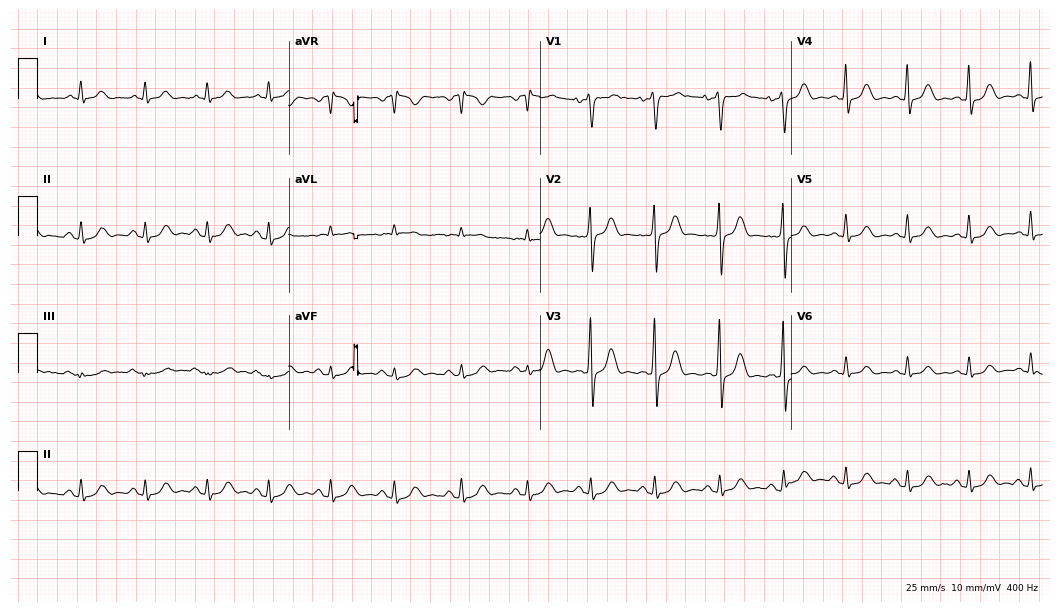
Resting 12-lead electrocardiogram. Patient: a 35-year-old man. None of these six findings is recorded: first-degree AV block, right bundle branch block, left bundle branch block, sinus bradycardia, atrial fibrillation, sinus tachycardia. Findings outside these six are not listed.